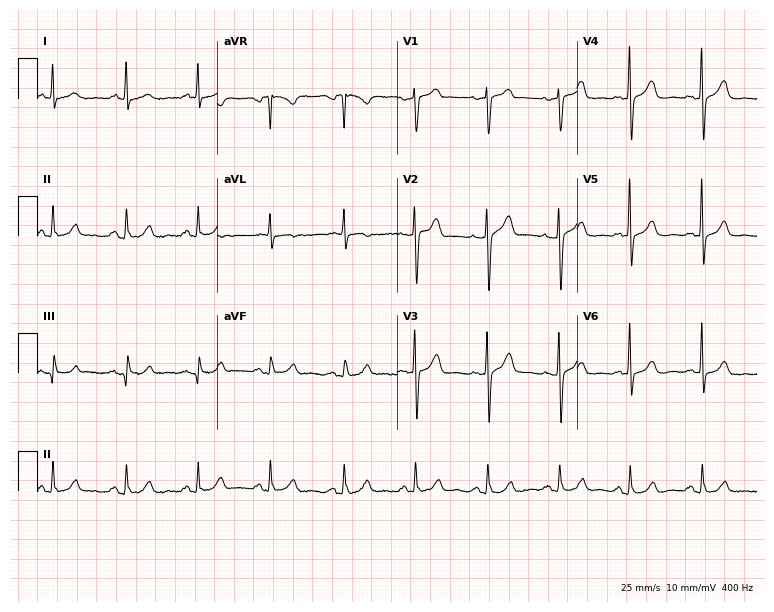
Electrocardiogram (7.3-second recording at 400 Hz), a female, 59 years old. Of the six screened findings (first-degree AV block, right bundle branch block, left bundle branch block, sinus bradycardia, atrial fibrillation, sinus tachycardia), none is recorded.